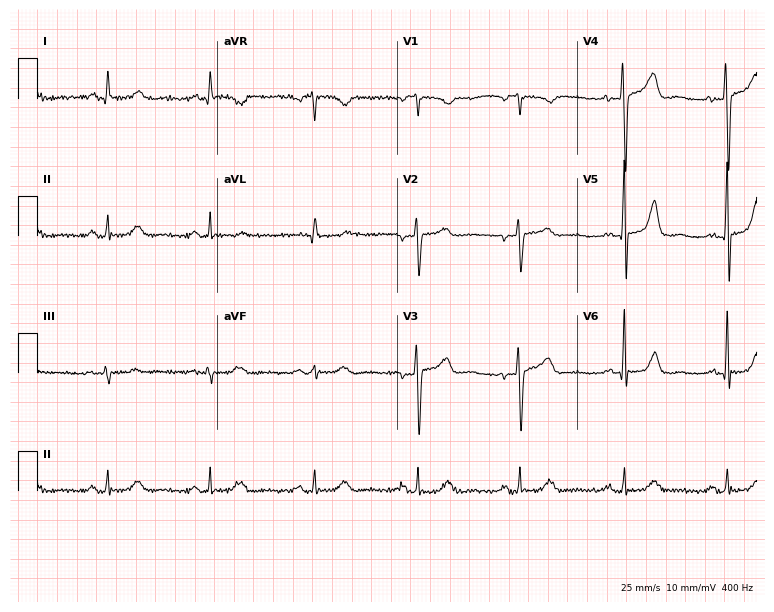
ECG (7.3-second recording at 400 Hz) — a 69-year-old female patient. Labelled as a normal ECG.